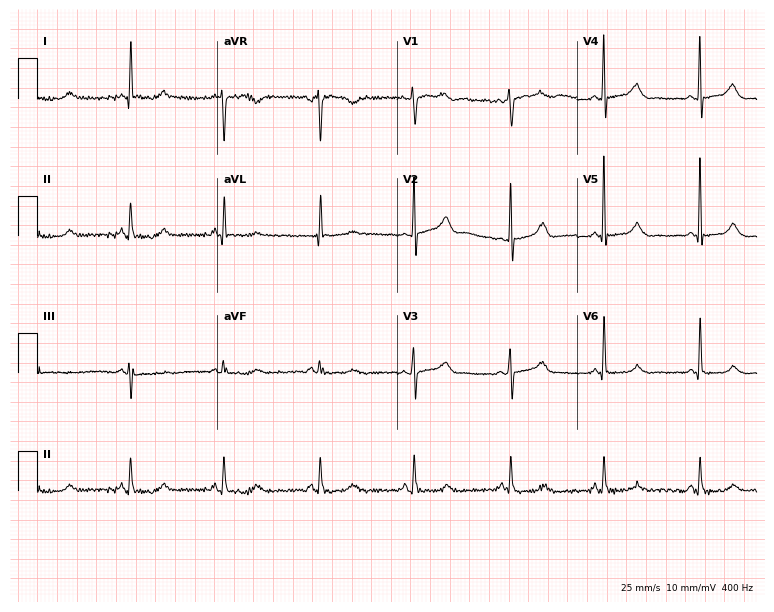
Electrocardiogram (7.3-second recording at 400 Hz), a female, 62 years old. Overall reading on record: normal ECG.